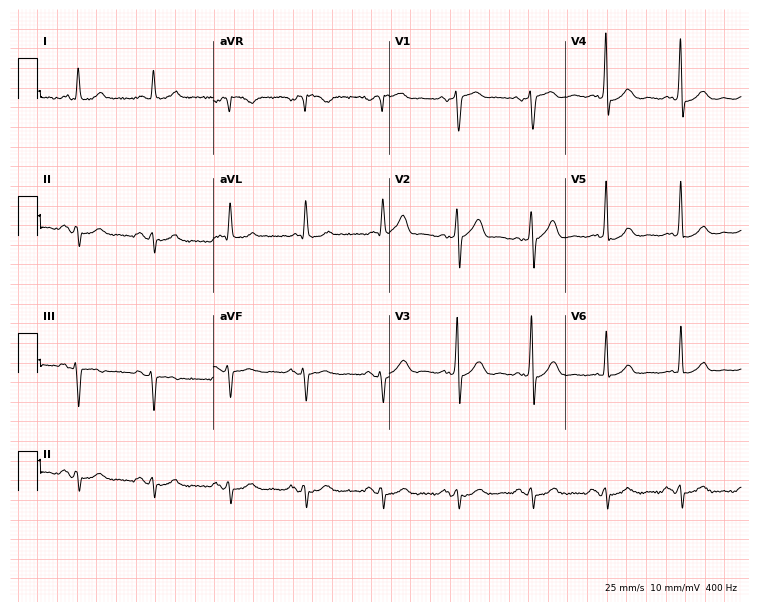
ECG — a 70-year-old woman. Screened for six findings — first-degree AV block, right bundle branch block (RBBB), left bundle branch block (LBBB), sinus bradycardia, atrial fibrillation (AF), sinus tachycardia — none is recorded.